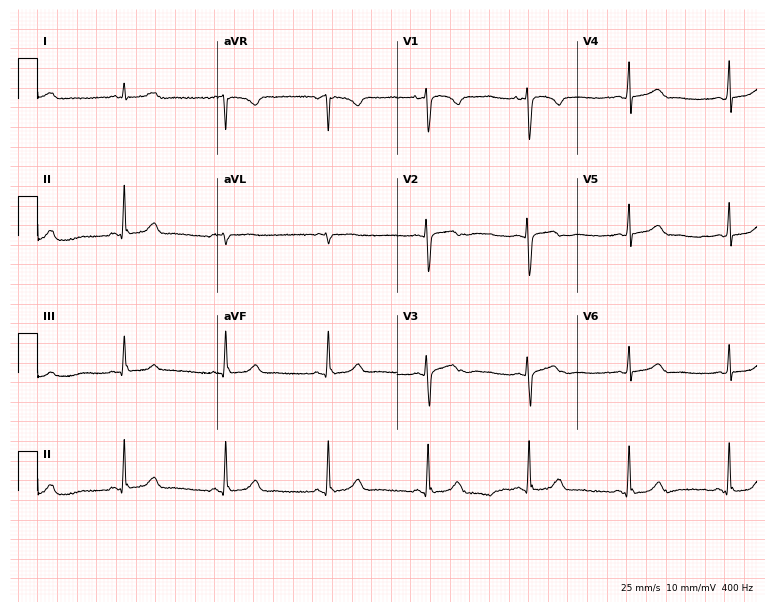
12-lead ECG (7.3-second recording at 400 Hz) from a woman, 21 years old. Labelled as a normal ECG.